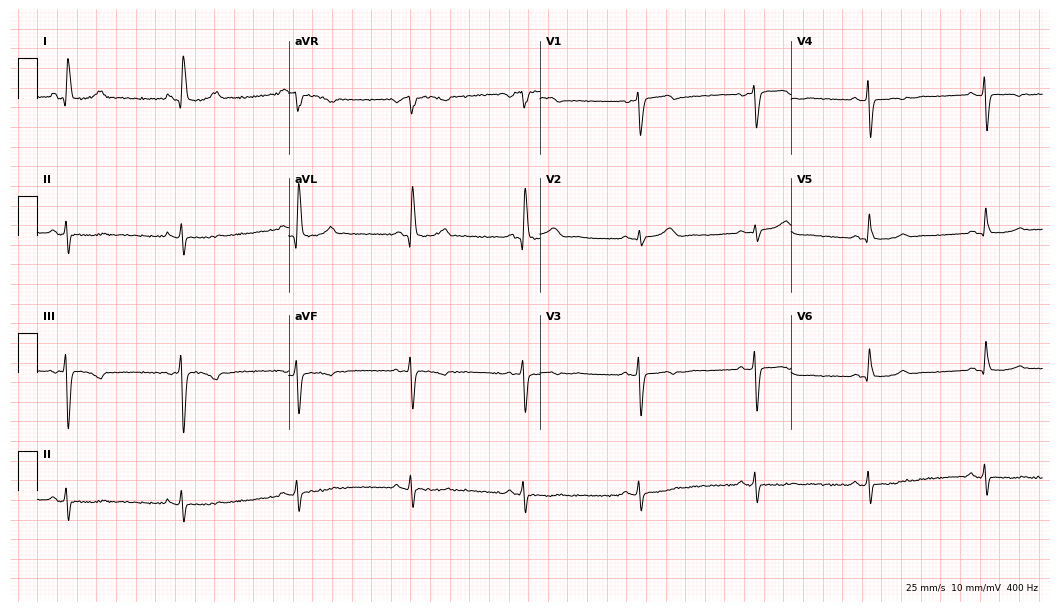
Resting 12-lead electrocardiogram. Patient: a 65-year-old female. None of these six findings is recorded: first-degree AV block, right bundle branch block, left bundle branch block, sinus bradycardia, atrial fibrillation, sinus tachycardia.